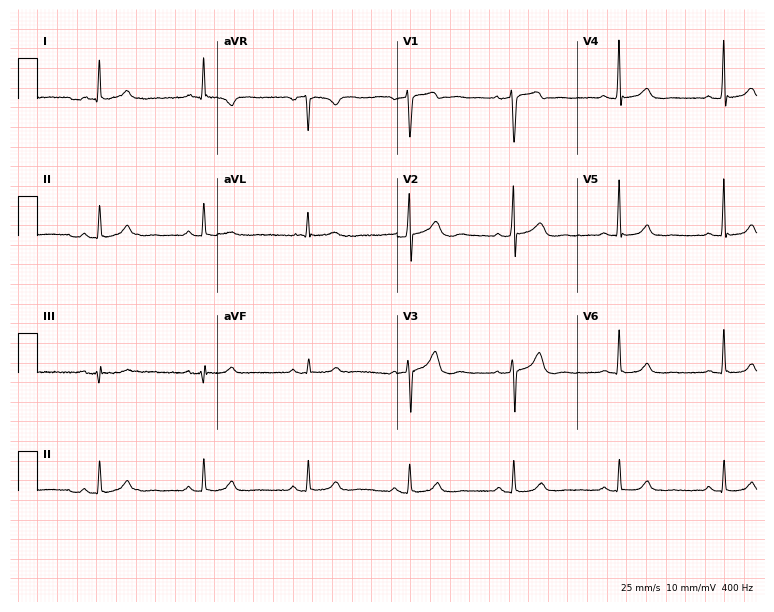
Electrocardiogram, a man, 56 years old. Overall reading on record: normal ECG.